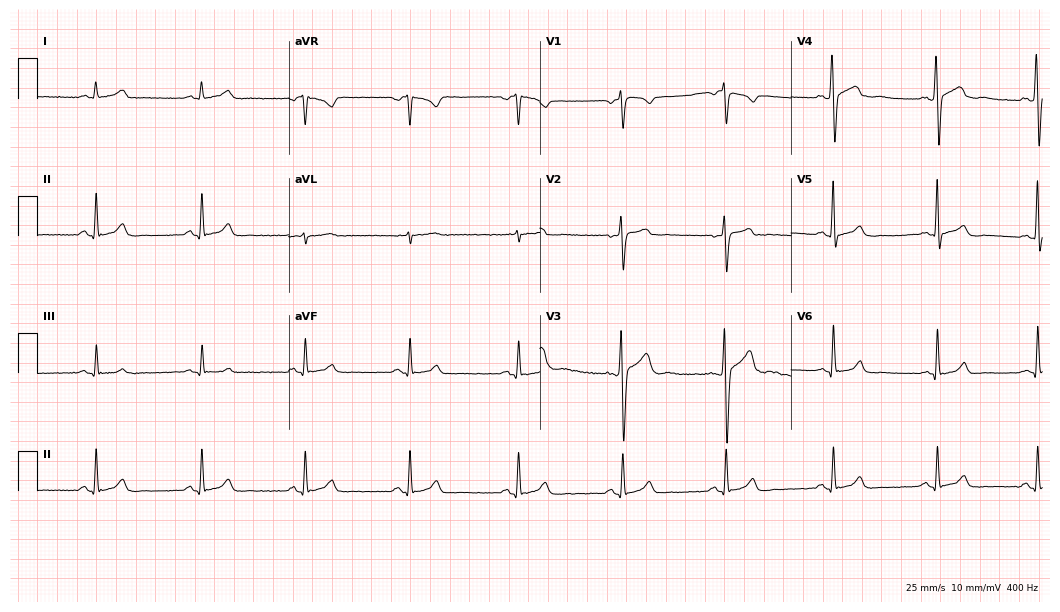
12-lead ECG from a male patient, 27 years old (10.2-second recording at 400 Hz). Recorded interpretation: within normal limits.